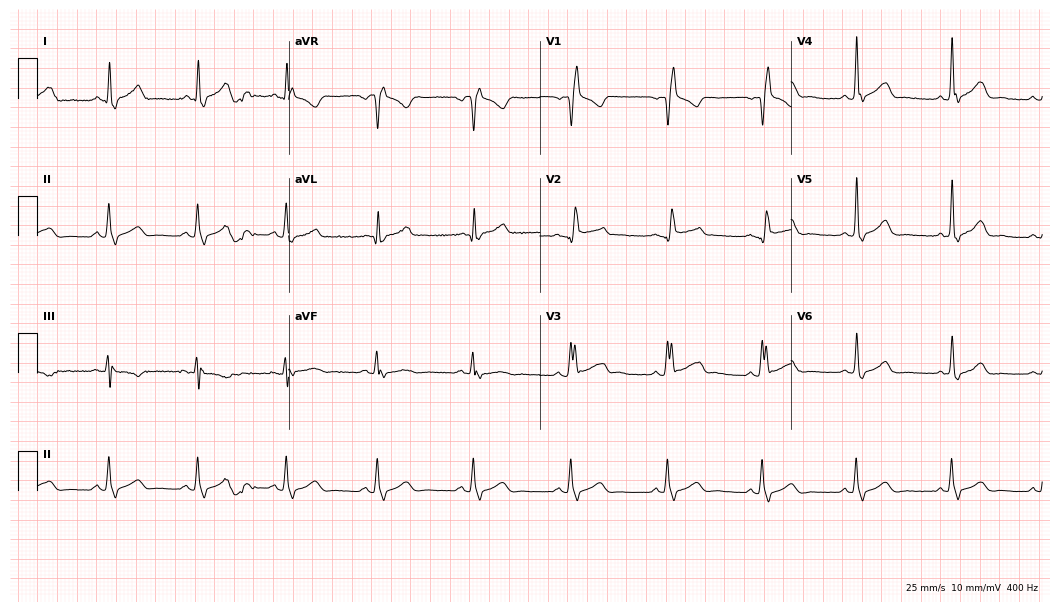
Resting 12-lead electrocardiogram. Patient: a male, 42 years old. The tracing shows right bundle branch block.